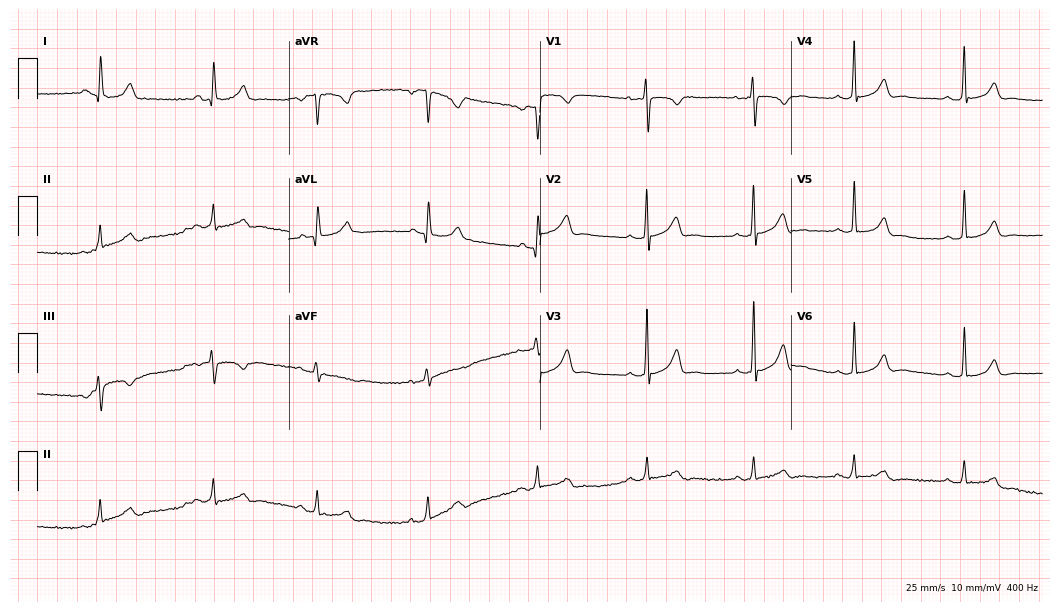
12-lead ECG from a 31-year-old female. Recorded interpretation: within normal limits.